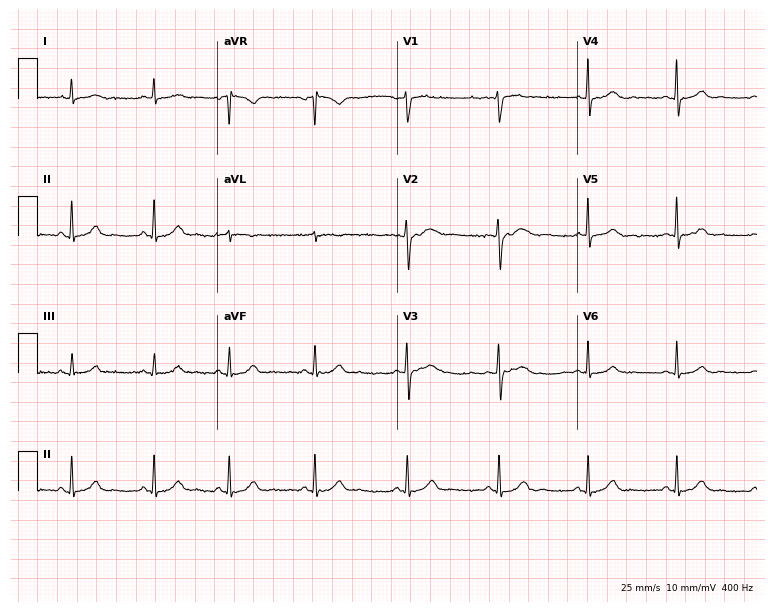
Electrocardiogram (7.3-second recording at 400 Hz), a 51-year-old woman. Overall reading on record: normal ECG.